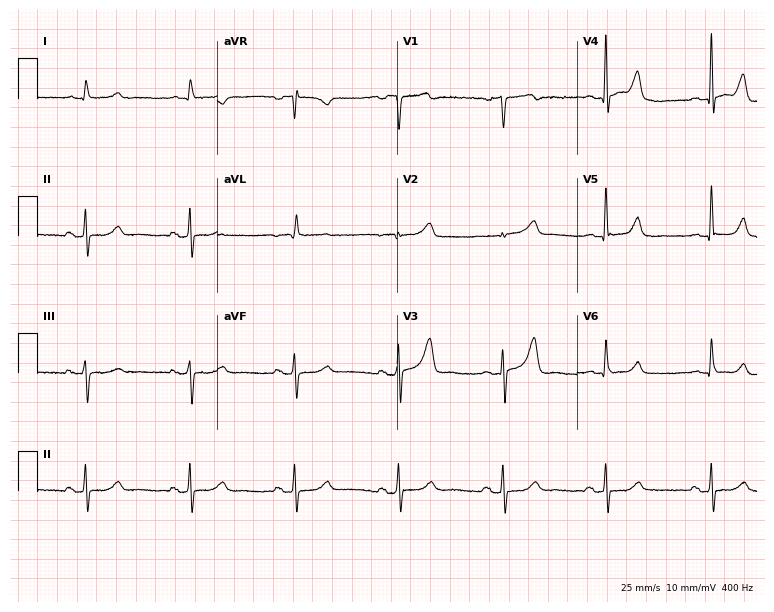
Resting 12-lead electrocardiogram (7.3-second recording at 400 Hz). Patient: a 70-year-old man. Read as a normal ECG.